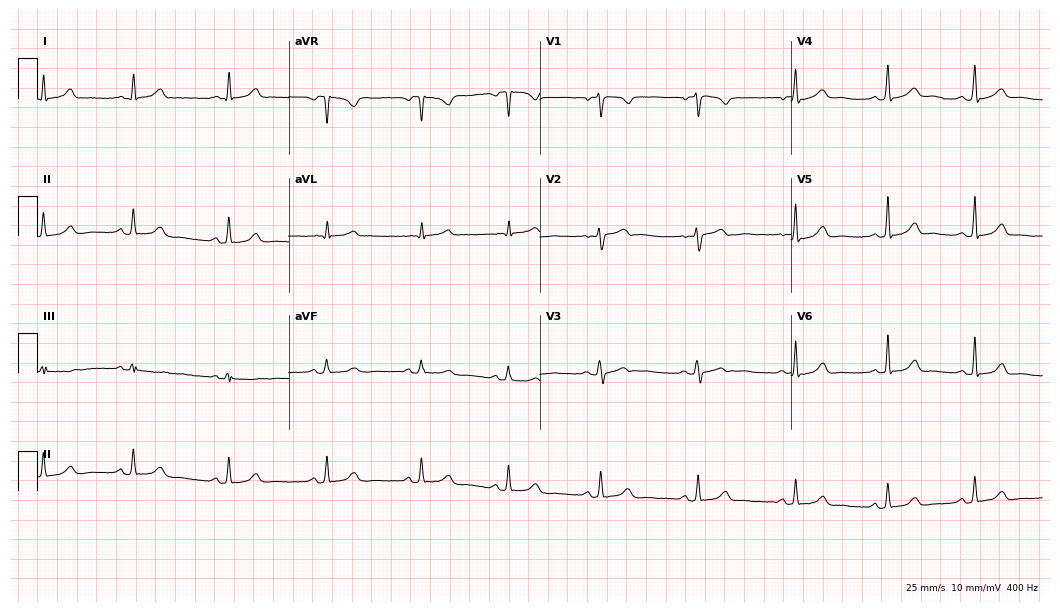
12-lead ECG from a female patient, 35 years old. Recorded interpretation: within normal limits.